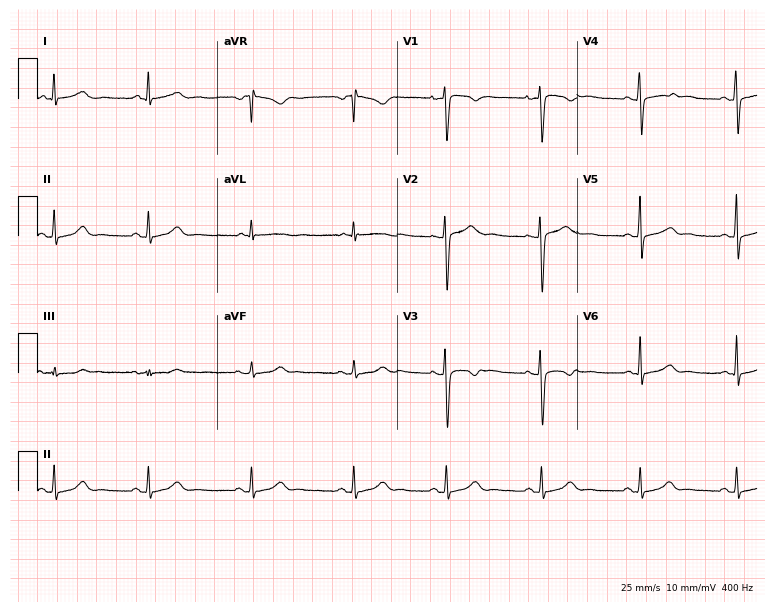
Electrocardiogram, a female patient, 31 years old. Of the six screened findings (first-degree AV block, right bundle branch block (RBBB), left bundle branch block (LBBB), sinus bradycardia, atrial fibrillation (AF), sinus tachycardia), none is recorded.